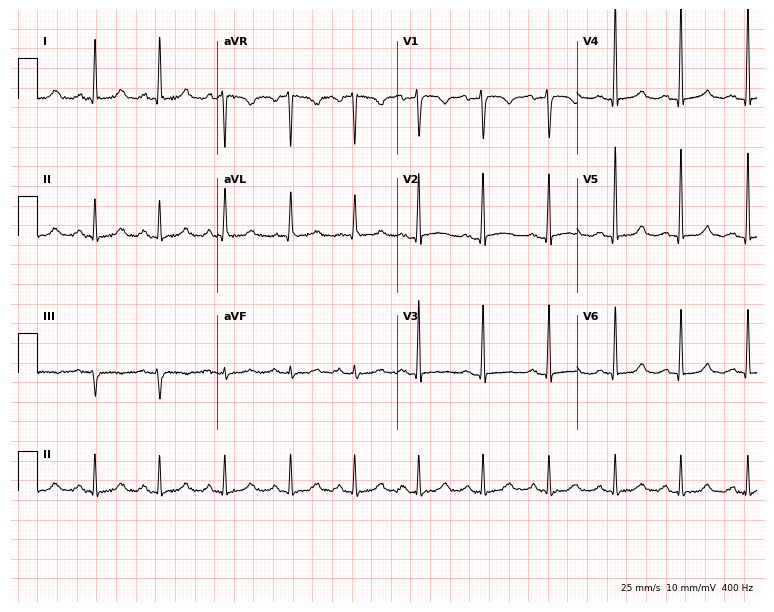
12-lead ECG (7.3-second recording at 400 Hz) from a woman, 65 years old. Labelled as a normal ECG.